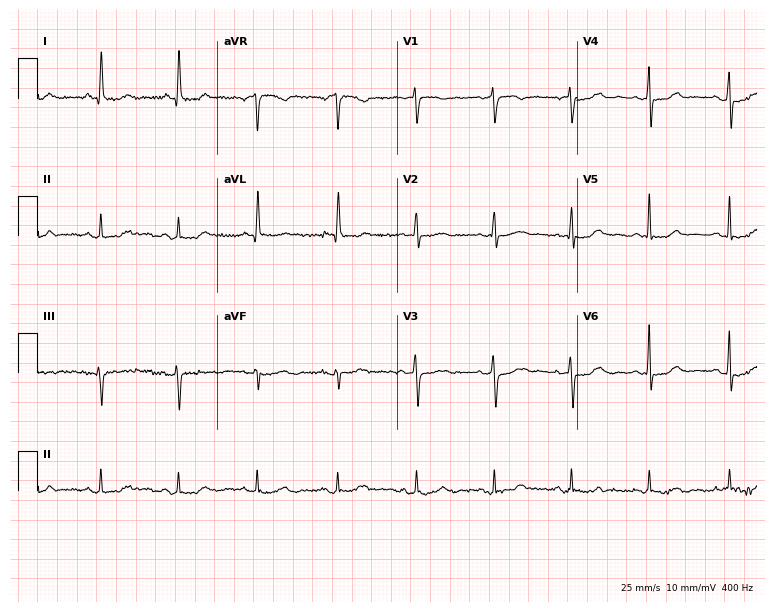
ECG (7.3-second recording at 400 Hz) — a female patient, 78 years old. Labelled as a normal ECG.